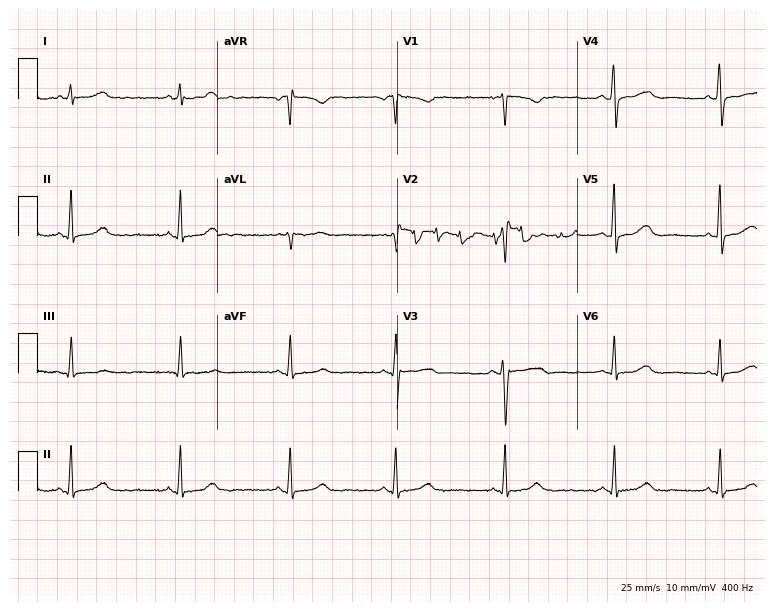
12-lead ECG (7.3-second recording at 400 Hz) from a 48-year-old woman. Labelled as a normal ECG.